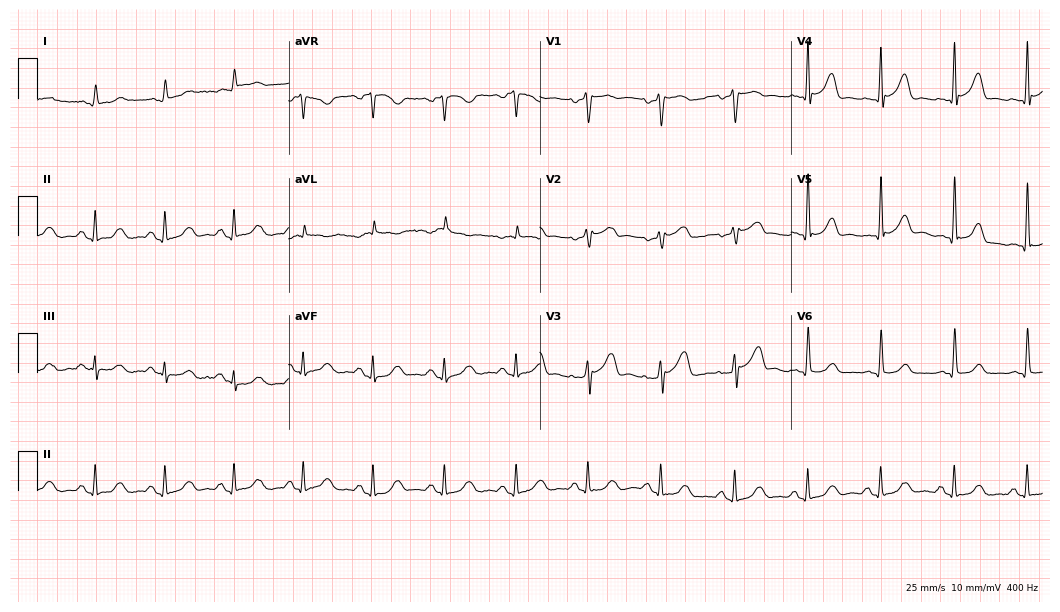
Resting 12-lead electrocardiogram (10.2-second recording at 400 Hz). Patient: a 71-year-old male. Read as a normal ECG.